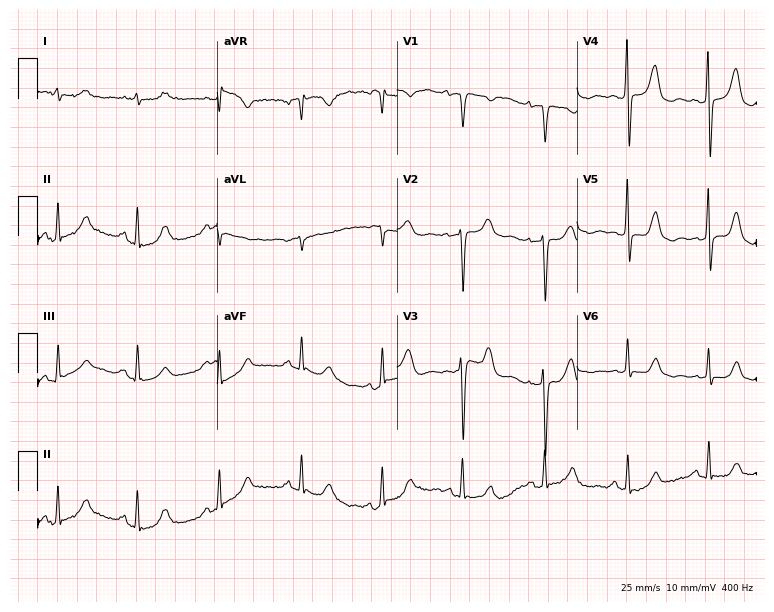
Standard 12-lead ECG recorded from a 73-year-old woman (7.3-second recording at 400 Hz). None of these six findings is recorded: first-degree AV block, right bundle branch block, left bundle branch block, sinus bradycardia, atrial fibrillation, sinus tachycardia.